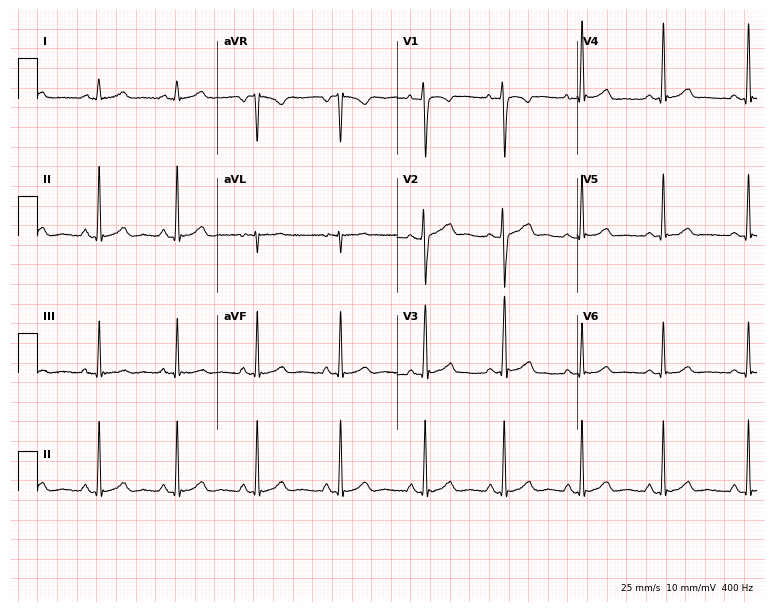
12-lead ECG (7.3-second recording at 400 Hz) from a female, 26 years old. Labelled as a normal ECG.